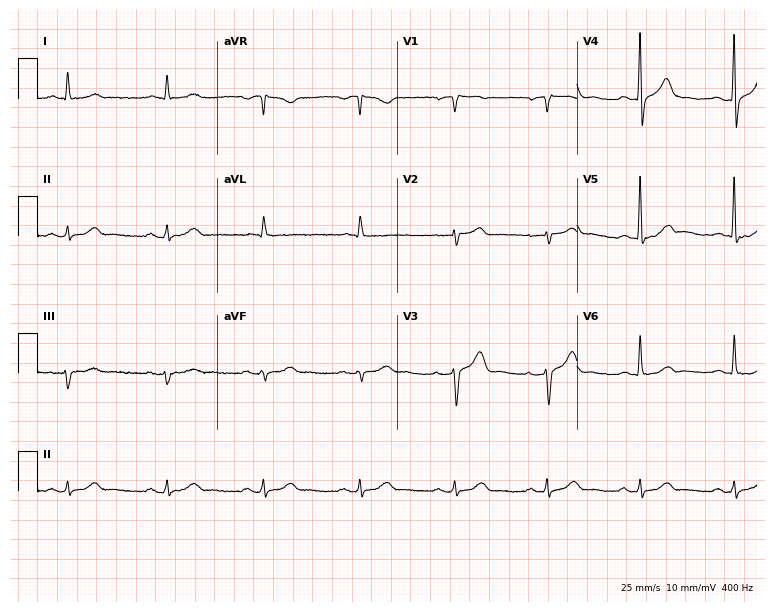
Standard 12-lead ECG recorded from a male patient, 77 years old. Read as a normal ECG.